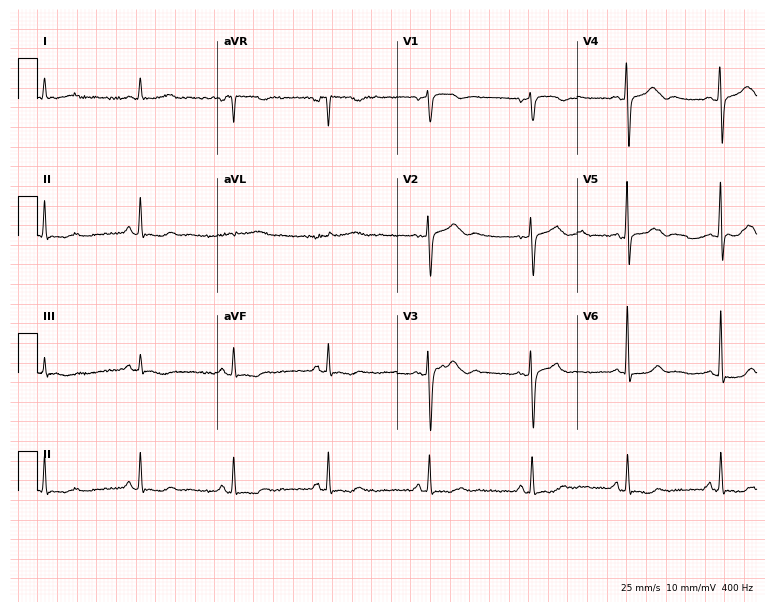
ECG — a woman, 52 years old. Screened for six findings — first-degree AV block, right bundle branch block, left bundle branch block, sinus bradycardia, atrial fibrillation, sinus tachycardia — none is recorded.